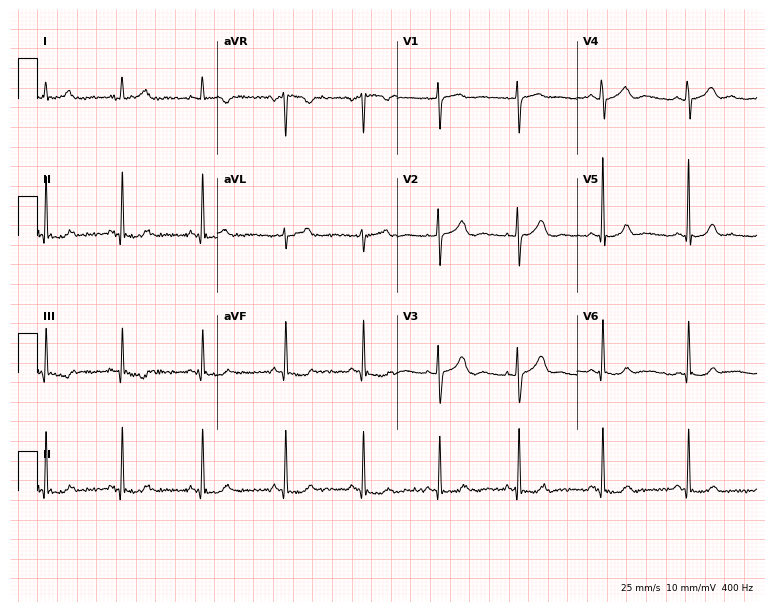
12-lead ECG from a woman, 34 years old. No first-degree AV block, right bundle branch block (RBBB), left bundle branch block (LBBB), sinus bradycardia, atrial fibrillation (AF) or sinus tachycardia recorded for this tracing. Only these six findings were labelled.